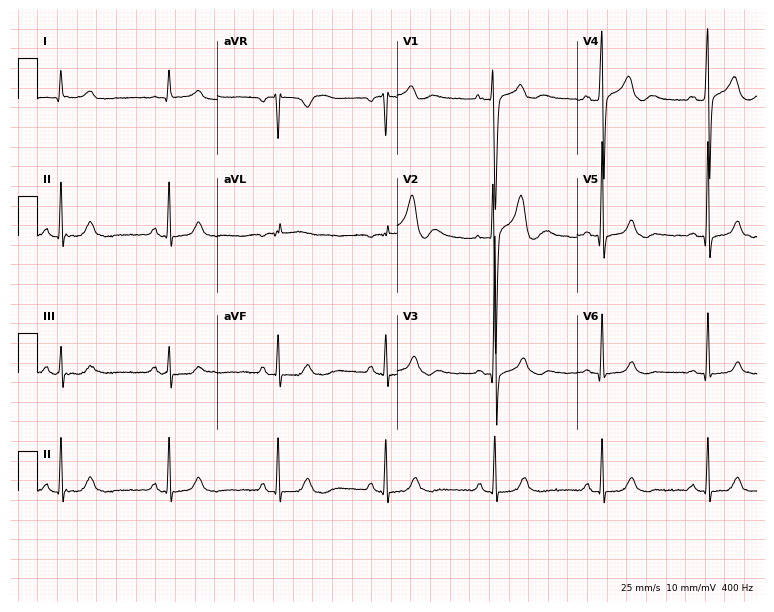
ECG — a male patient, 24 years old. Labelled as a normal ECG.